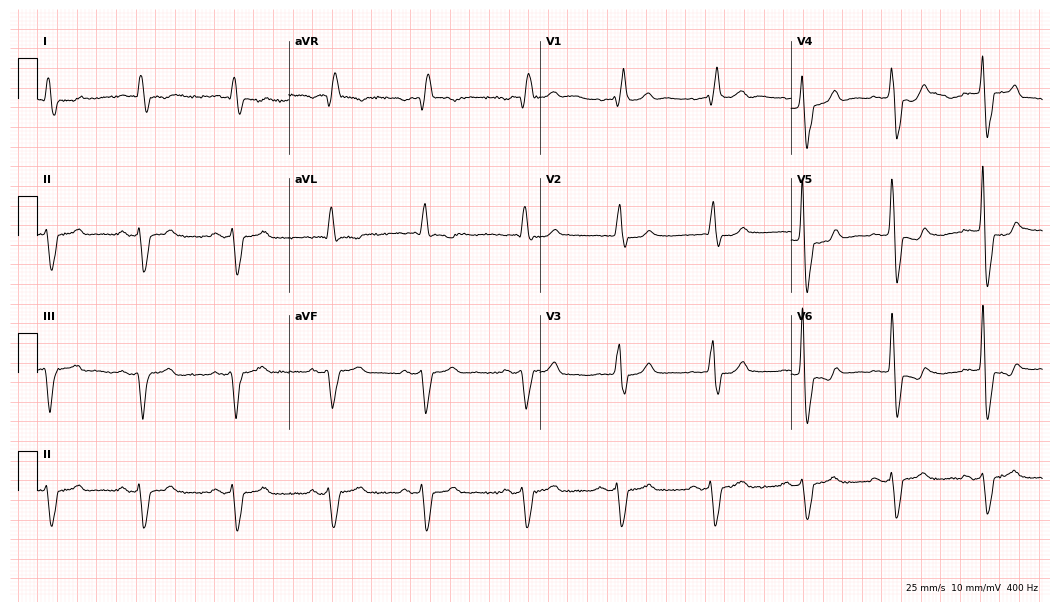
Resting 12-lead electrocardiogram. Patient: a 67-year-old man. None of these six findings is recorded: first-degree AV block, right bundle branch block, left bundle branch block, sinus bradycardia, atrial fibrillation, sinus tachycardia.